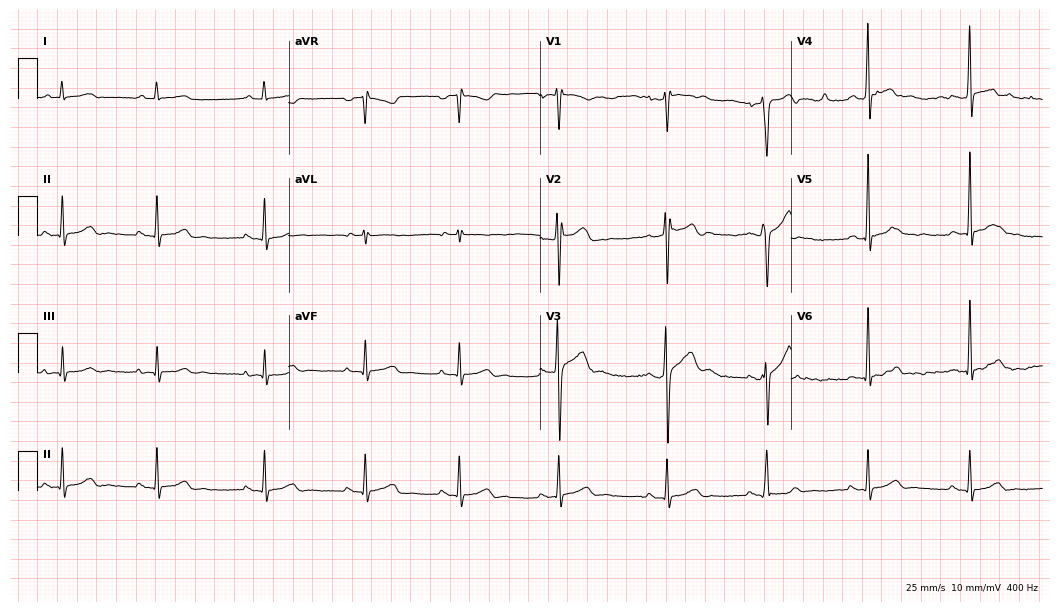
12-lead ECG (10.2-second recording at 400 Hz) from a 78-year-old man. Screened for six findings — first-degree AV block, right bundle branch block (RBBB), left bundle branch block (LBBB), sinus bradycardia, atrial fibrillation (AF), sinus tachycardia — none is recorded. Other findings, if any, are not listed.